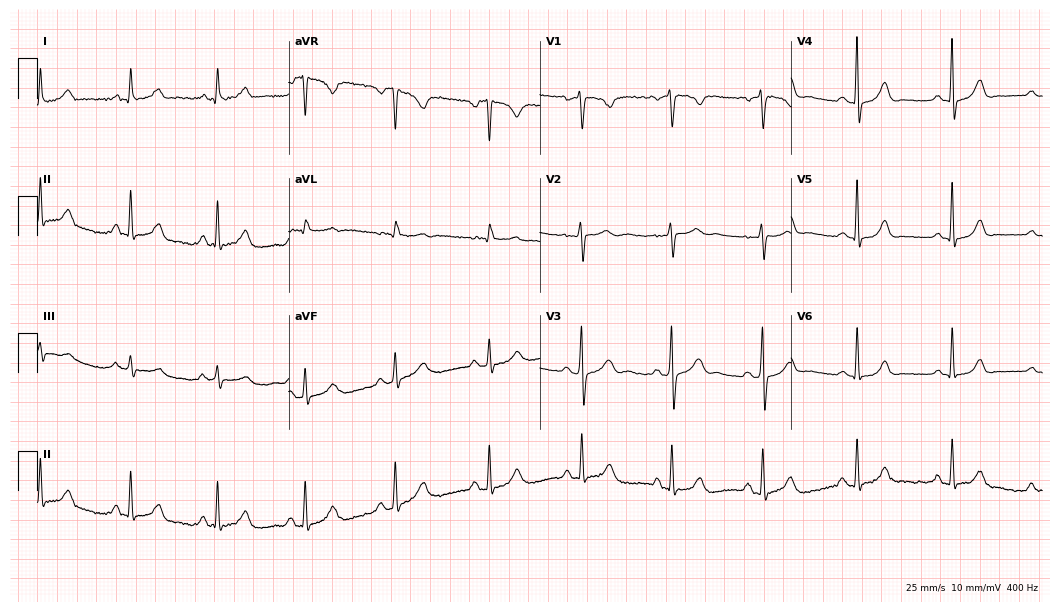
ECG (10.2-second recording at 400 Hz) — a female, 43 years old. Labelled as a normal ECG.